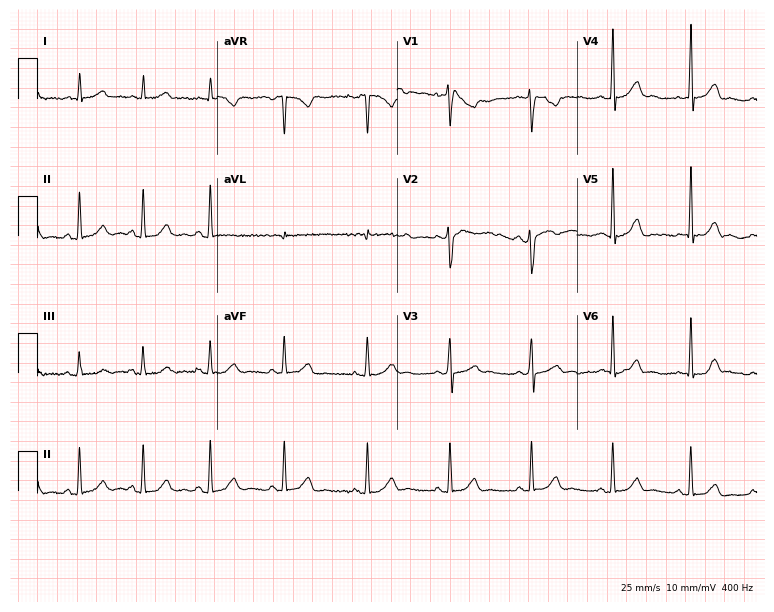
ECG — a 39-year-old female patient. Screened for six findings — first-degree AV block, right bundle branch block, left bundle branch block, sinus bradycardia, atrial fibrillation, sinus tachycardia — none is recorded. Other findings, if any, are not listed.